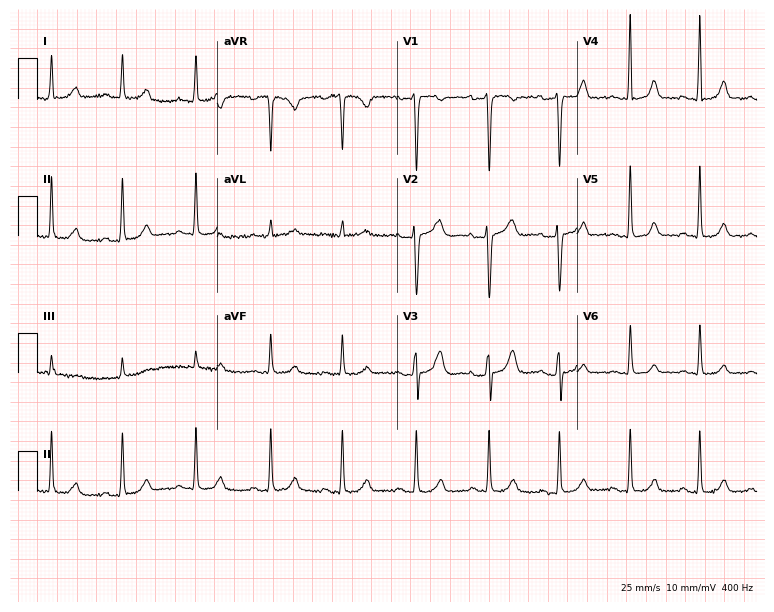
Standard 12-lead ECG recorded from a woman, 36 years old. Read as a normal ECG.